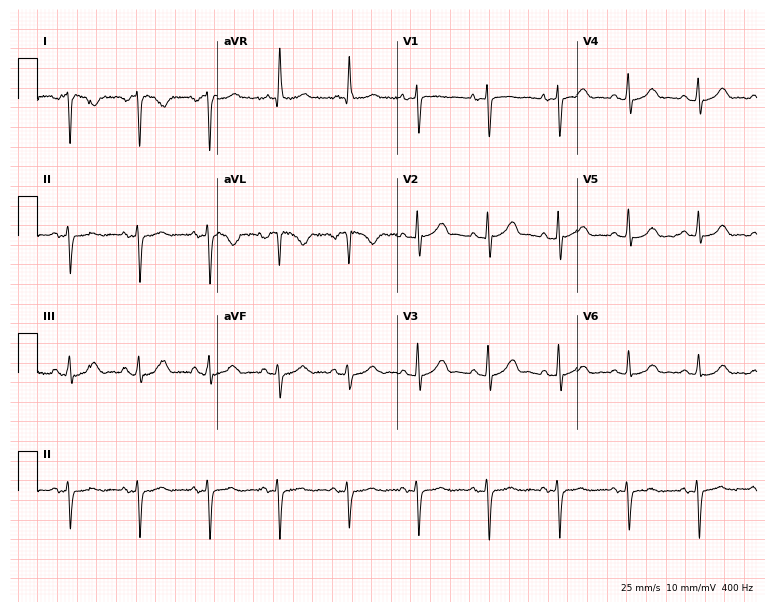
Electrocardiogram, a 70-year-old woman. Of the six screened findings (first-degree AV block, right bundle branch block (RBBB), left bundle branch block (LBBB), sinus bradycardia, atrial fibrillation (AF), sinus tachycardia), none is recorded.